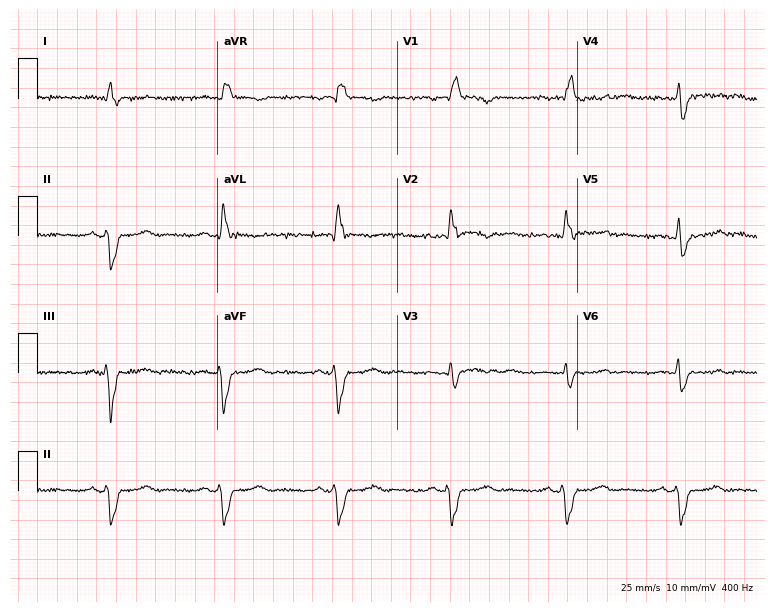
Electrocardiogram, a 40-year-old man. Interpretation includes right bundle branch block (RBBB).